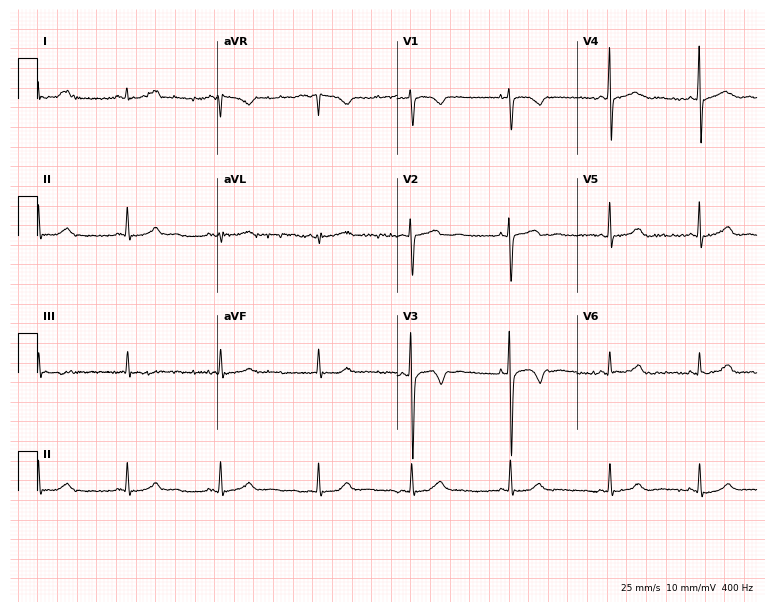
ECG — a woman, 27 years old. Screened for six findings — first-degree AV block, right bundle branch block, left bundle branch block, sinus bradycardia, atrial fibrillation, sinus tachycardia — none is recorded.